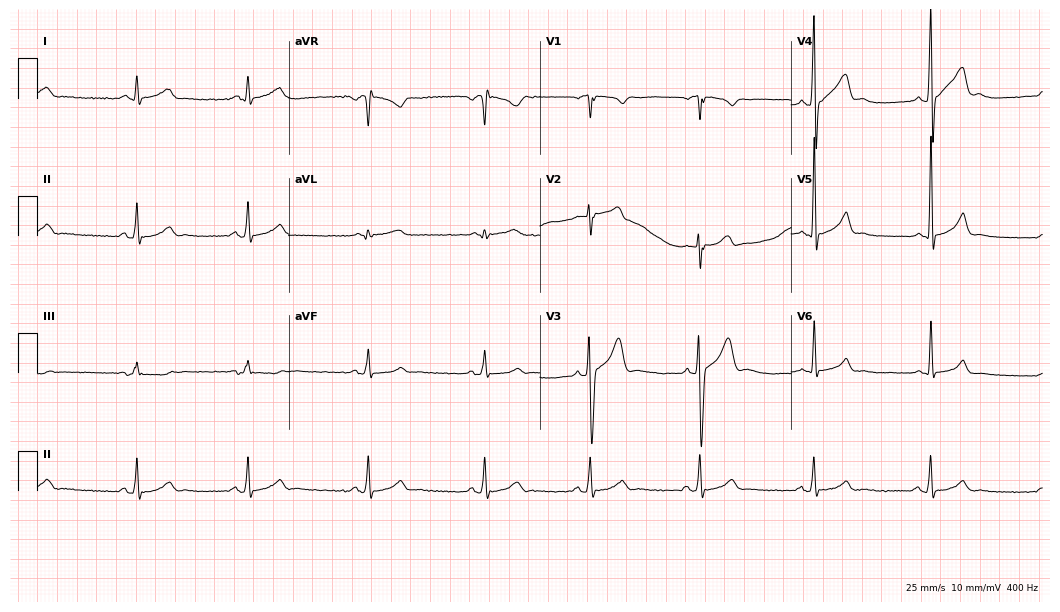
12-lead ECG from a 20-year-old male. No first-degree AV block, right bundle branch block, left bundle branch block, sinus bradycardia, atrial fibrillation or sinus tachycardia recorded for this tracing.